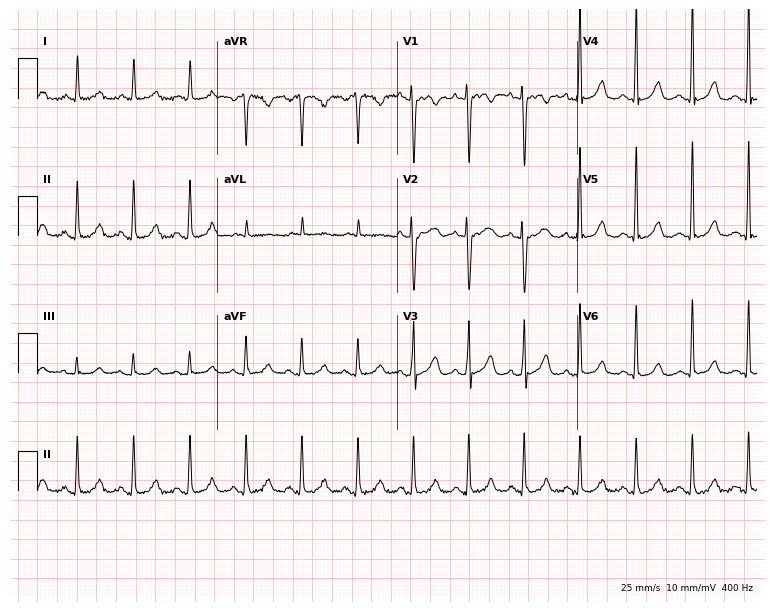
Electrocardiogram (7.3-second recording at 400 Hz), a 66-year-old female patient. Interpretation includes sinus tachycardia (a sinus rate of 100 beats per minute or more).